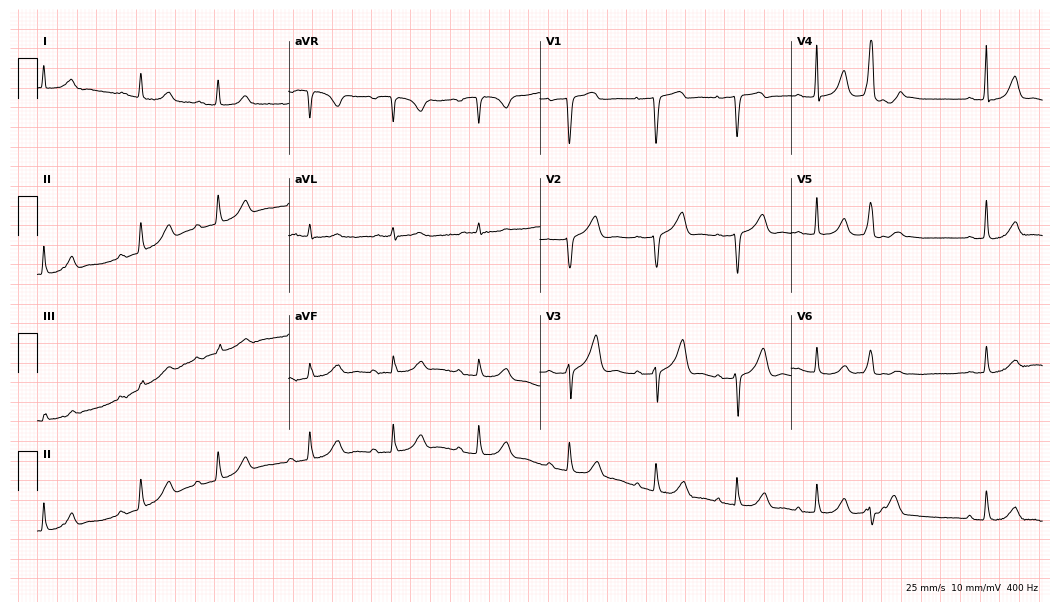
12-lead ECG from a female patient, 78 years old (10.2-second recording at 400 Hz). No first-degree AV block, right bundle branch block, left bundle branch block, sinus bradycardia, atrial fibrillation or sinus tachycardia recorded for this tracing. Only these six findings were labelled.